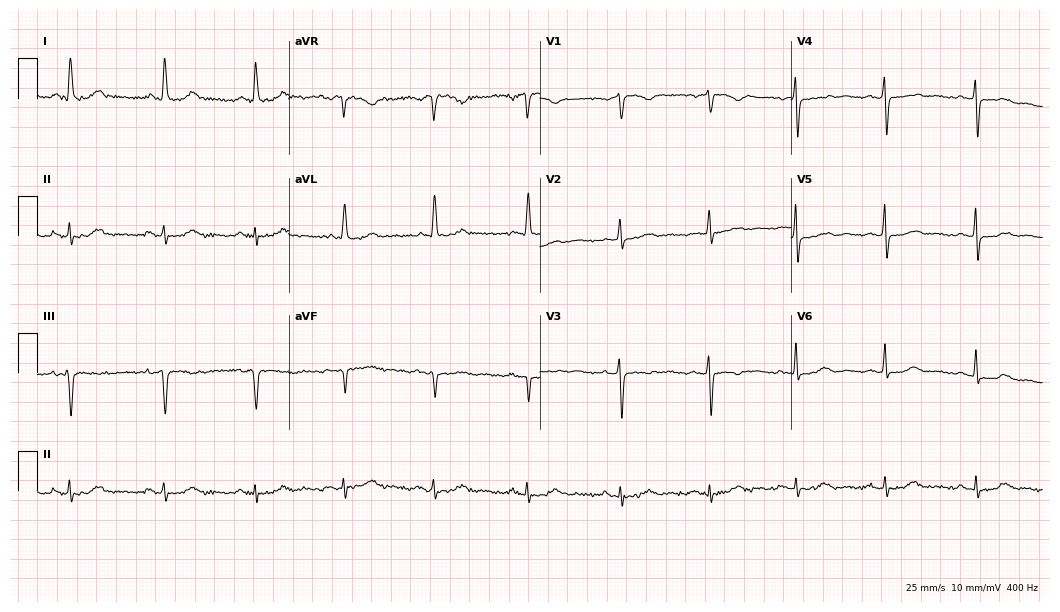
Resting 12-lead electrocardiogram (10.2-second recording at 400 Hz). Patient: a female, 69 years old. None of these six findings is recorded: first-degree AV block, right bundle branch block (RBBB), left bundle branch block (LBBB), sinus bradycardia, atrial fibrillation (AF), sinus tachycardia. Only these six findings were labelled.